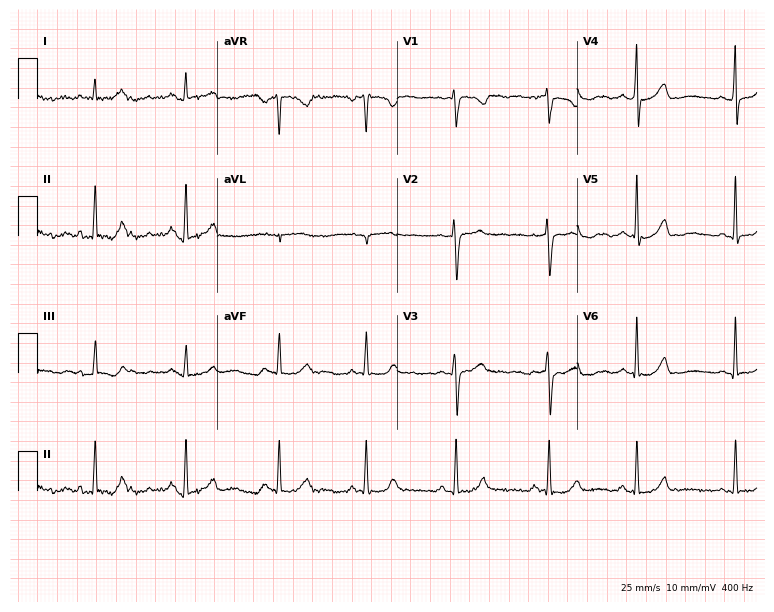
Standard 12-lead ECG recorded from a 37-year-old female. Read as a normal ECG.